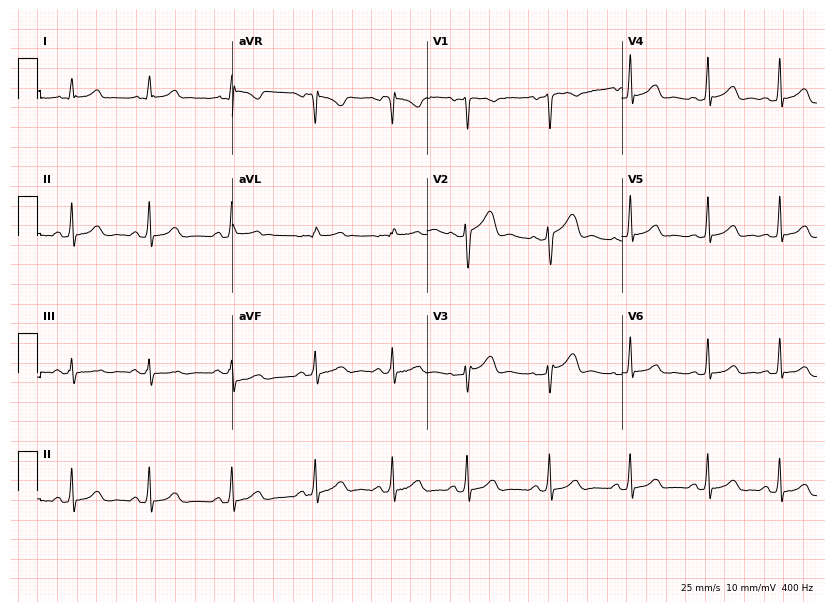
ECG (7.9-second recording at 400 Hz) — a female patient, 29 years old. Screened for six findings — first-degree AV block, right bundle branch block (RBBB), left bundle branch block (LBBB), sinus bradycardia, atrial fibrillation (AF), sinus tachycardia — none is recorded.